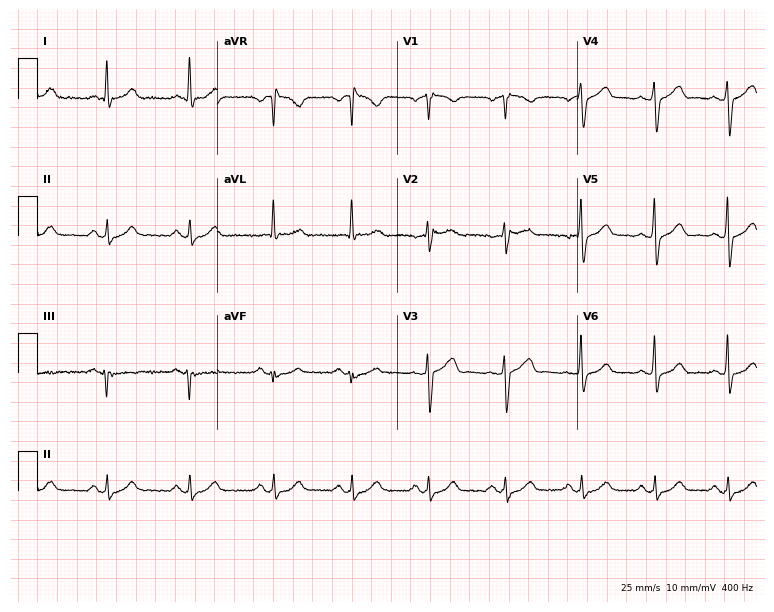
Electrocardiogram (7.3-second recording at 400 Hz), a male patient, 63 years old. Of the six screened findings (first-degree AV block, right bundle branch block (RBBB), left bundle branch block (LBBB), sinus bradycardia, atrial fibrillation (AF), sinus tachycardia), none is recorded.